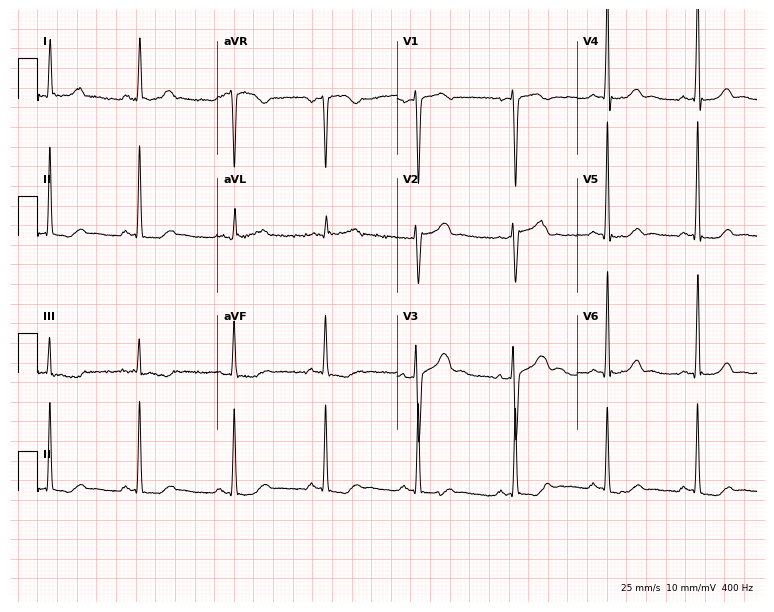
12-lead ECG from a female patient, 44 years old (7.3-second recording at 400 Hz). No first-degree AV block, right bundle branch block, left bundle branch block, sinus bradycardia, atrial fibrillation or sinus tachycardia recorded for this tracing. Other findings, if any, are not listed.